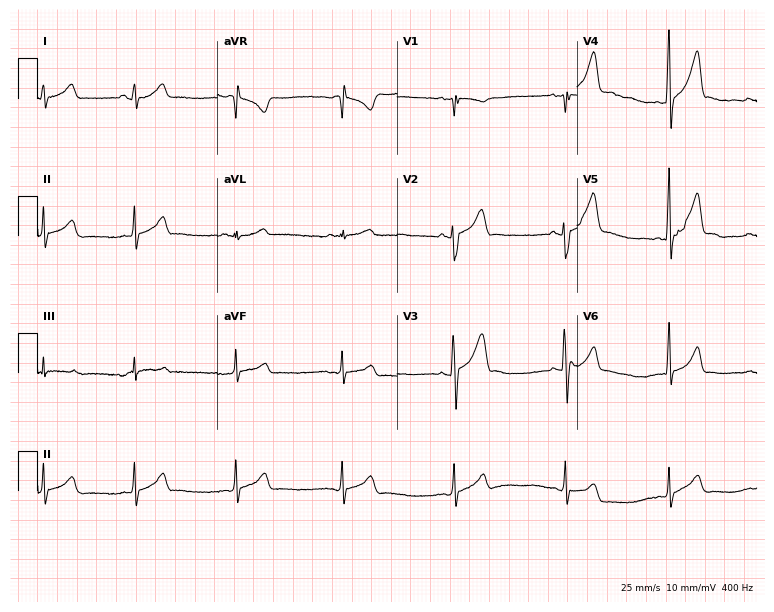
Electrocardiogram (7.3-second recording at 400 Hz), a 20-year-old male patient. Overall reading on record: normal ECG.